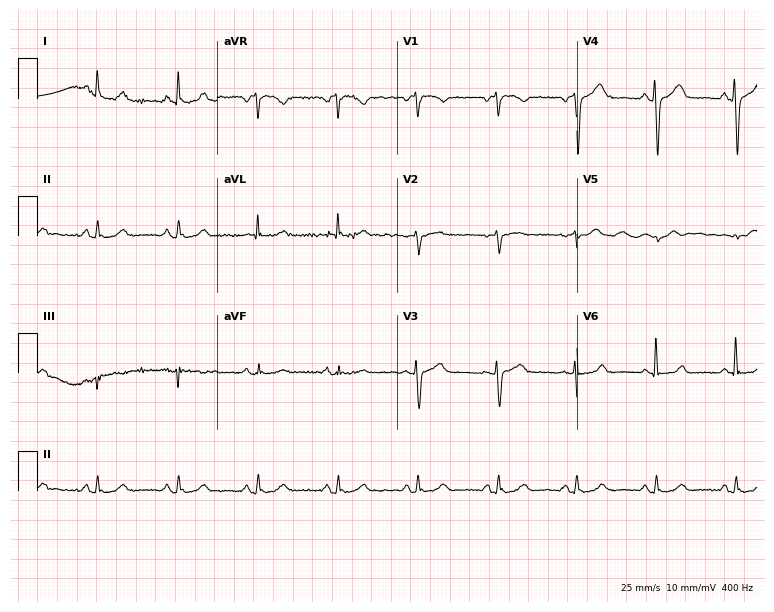
Resting 12-lead electrocardiogram. Patient: a 74-year-old female. Read as a normal ECG.